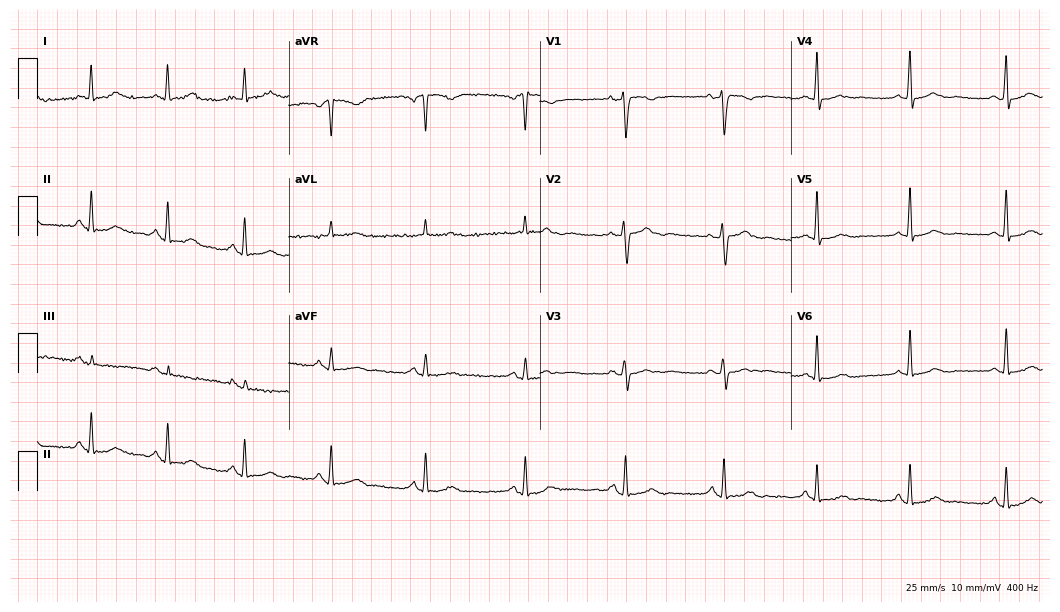
Electrocardiogram, a female patient, 51 years old. Of the six screened findings (first-degree AV block, right bundle branch block, left bundle branch block, sinus bradycardia, atrial fibrillation, sinus tachycardia), none is recorded.